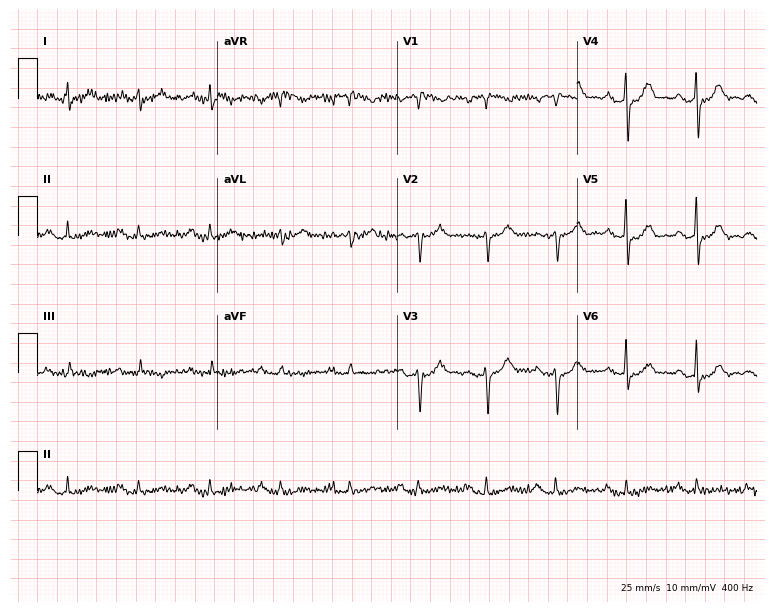
ECG — a man, 72 years old. Screened for six findings — first-degree AV block, right bundle branch block, left bundle branch block, sinus bradycardia, atrial fibrillation, sinus tachycardia — none is recorded.